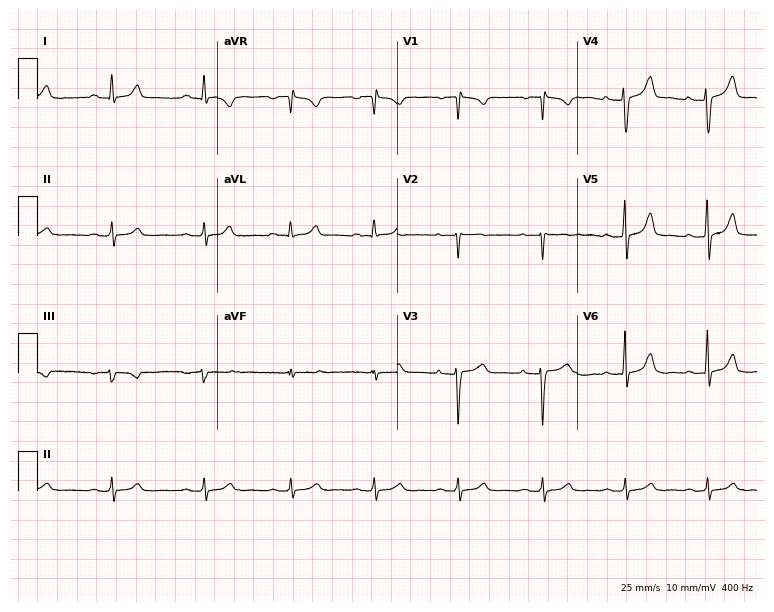
ECG — a 38-year-old woman. Labelled as a normal ECG.